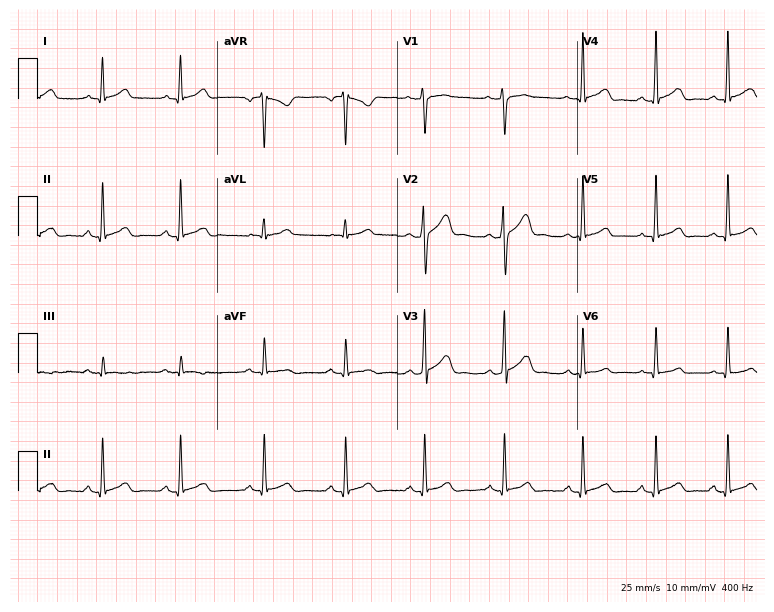
12-lead ECG from a male, 30 years old. Recorded interpretation: within normal limits.